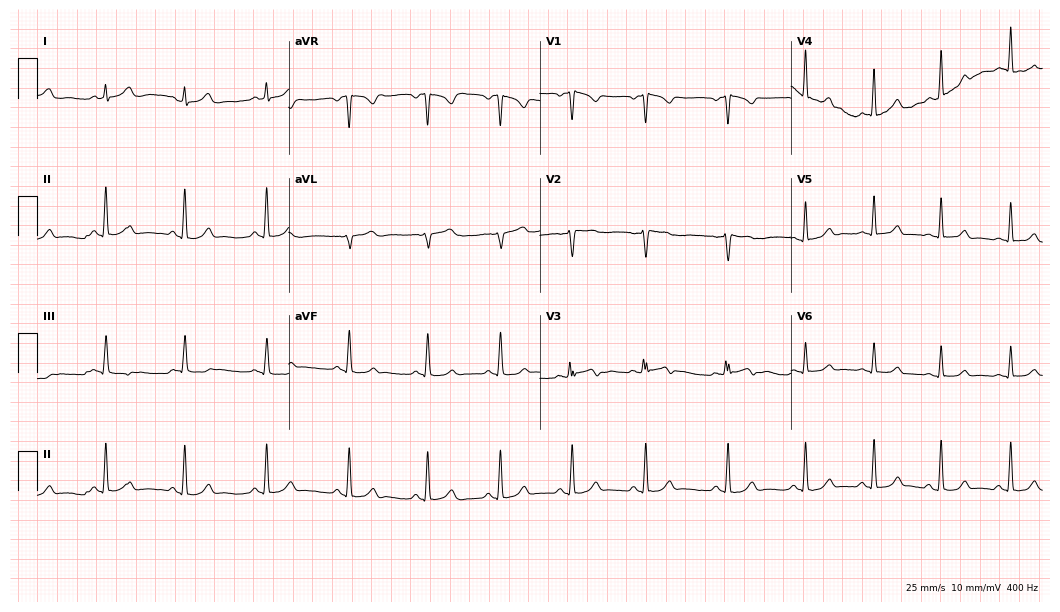
ECG (10.2-second recording at 400 Hz) — a 20-year-old female patient. Screened for six findings — first-degree AV block, right bundle branch block, left bundle branch block, sinus bradycardia, atrial fibrillation, sinus tachycardia — none is recorded. Other findings, if any, are not listed.